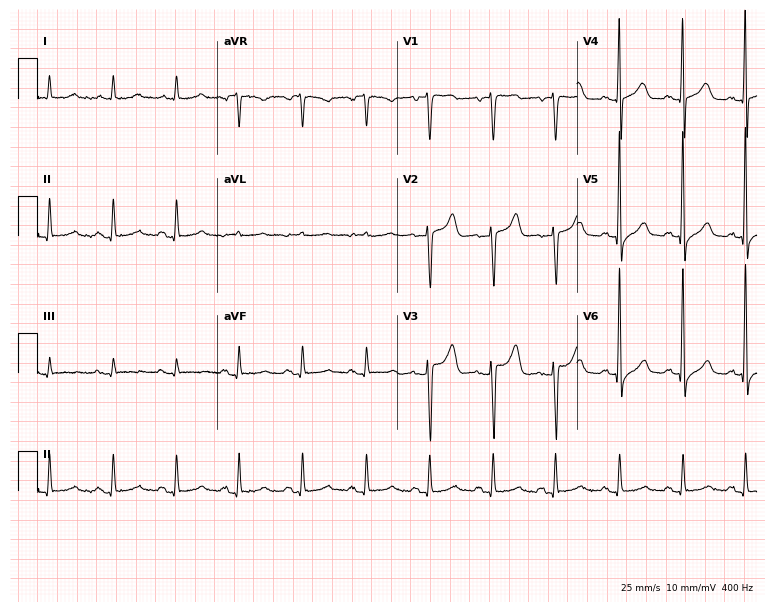
Electrocardiogram, a female, 74 years old. Overall reading on record: normal ECG.